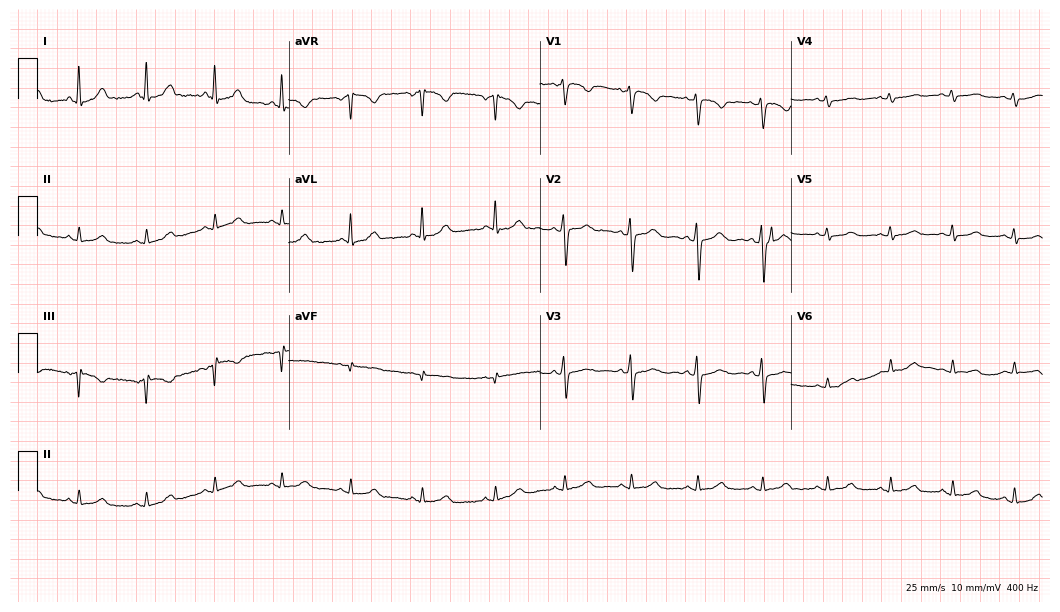
Standard 12-lead ECG recorded from a female, 49 years old. Read as a normal ECG.